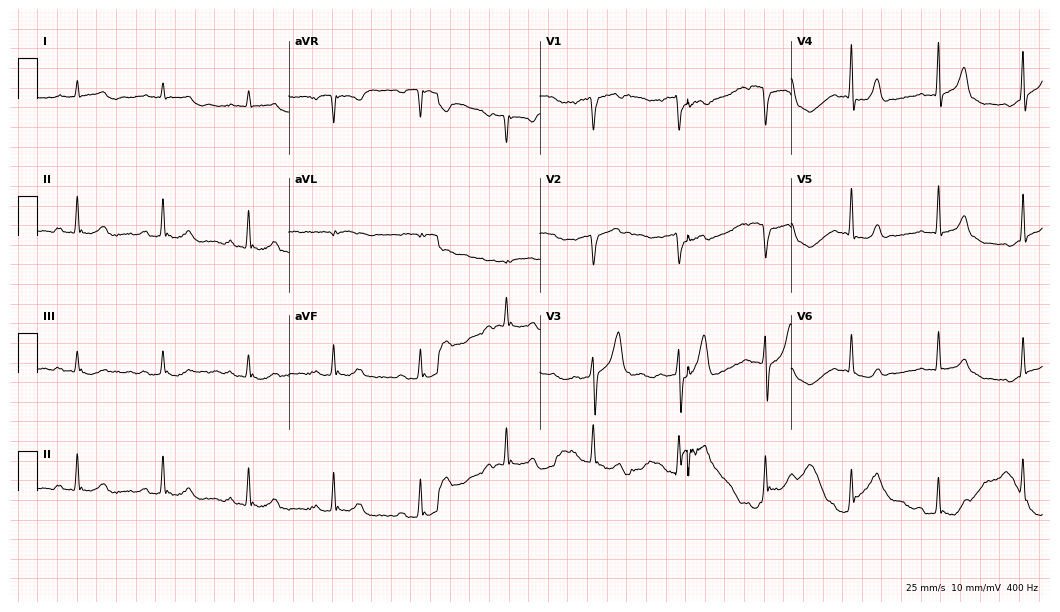
Electrocardiogram, a male patient, 49 years old. Overall reading on record: normal ECG.